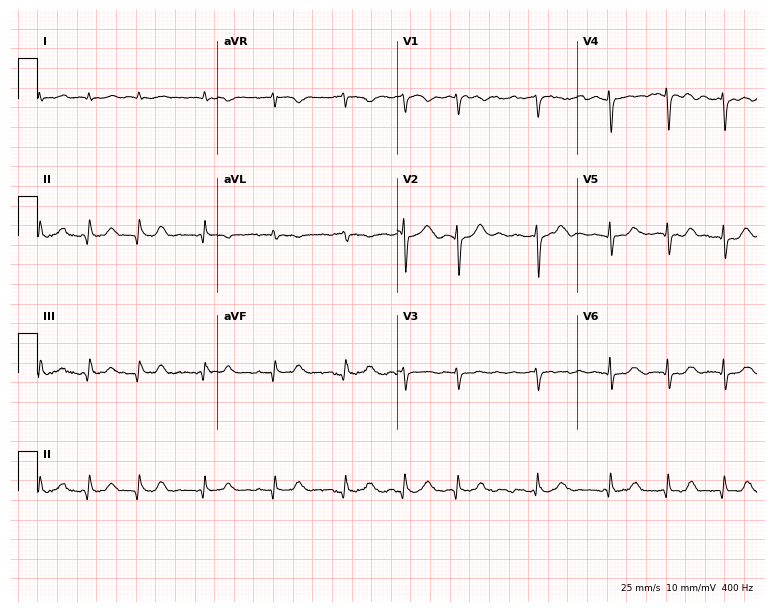
12-lead ECG from a 77-year-old woman. Findings include atrial fibrillation.